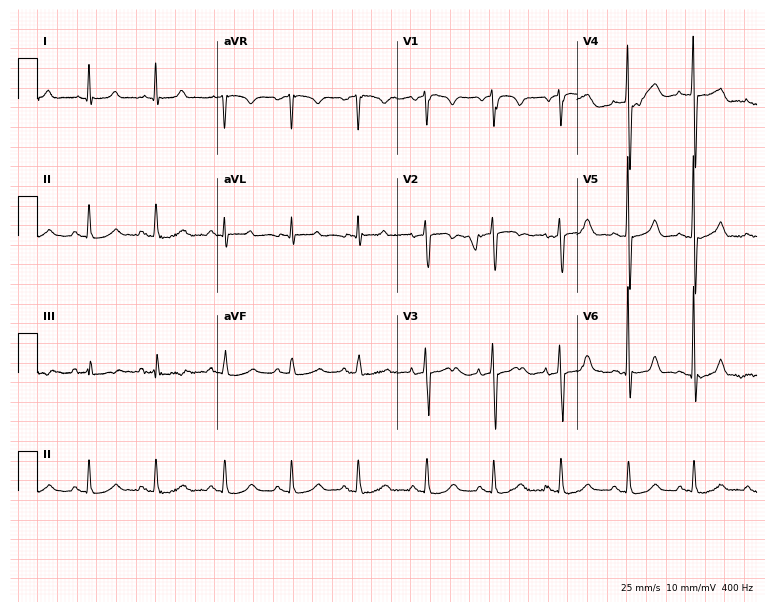
12-lead ECG (7.3-second recording at 400 Hz) from a man, 71 years old. Labelled as a normal ECG.